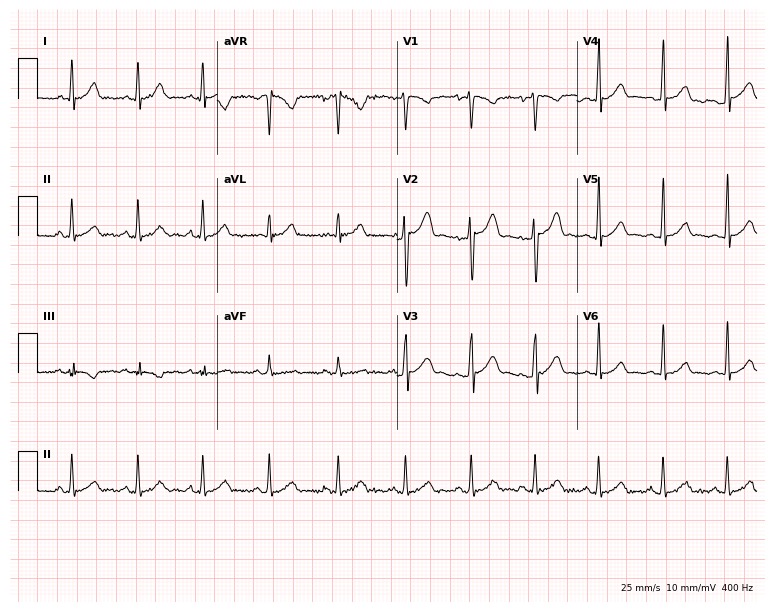
12-lead ECG from a 40-year-old man. Recorded interpretation: within normal limits.